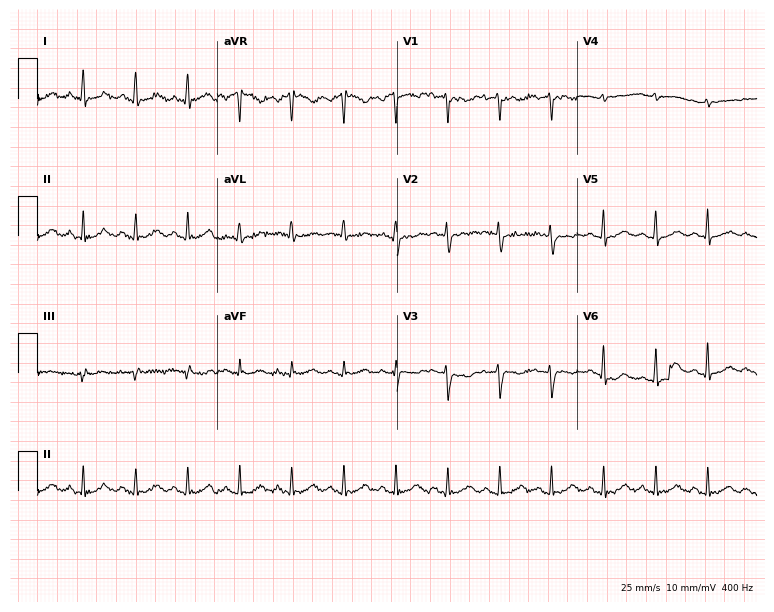
Resting 12-lead electrocardiogram. Patient: a female, 51 years old. None of these six findings is recorded: first-degree AV block, right bundle branch block, left bundle branch block, sinus bradycardia, atrial fibrillation, sinus tachycardia.